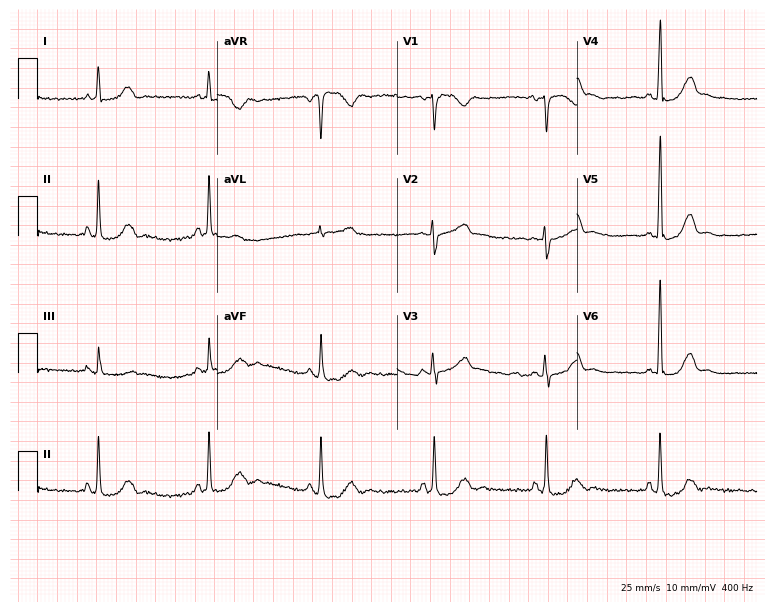
12-lead ECG from a female patient, 49 years old. No first-degree AV block, right bundle branch block (RBBB), left bundle branch block (LBBB), sinus bradycardia, atrial fibrillation (AF) or sinus tachycardia recorded for this tracing.